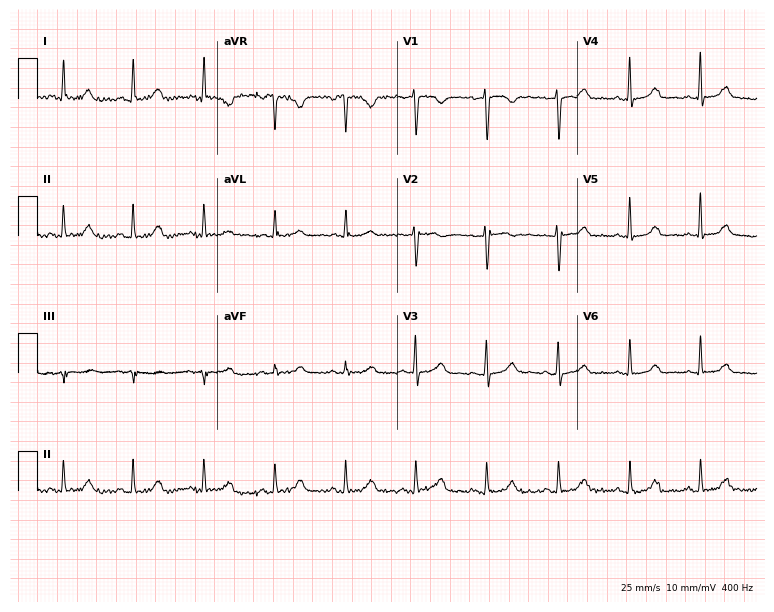
ECG (7.3-second recording at 400 Hz) — a 47-year-old female. Labelled as a normal ECG.